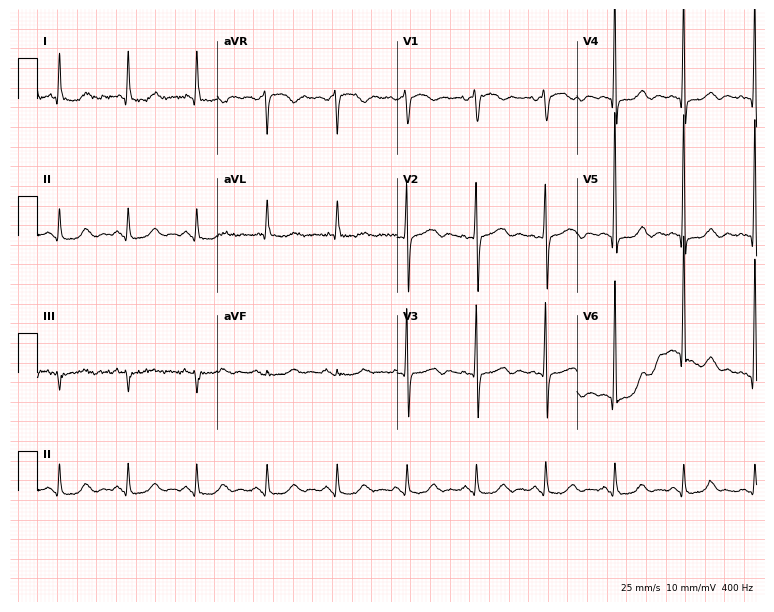
Electrocardiogram, a woman, 74 years old. Overall reading on record: normal ECG.